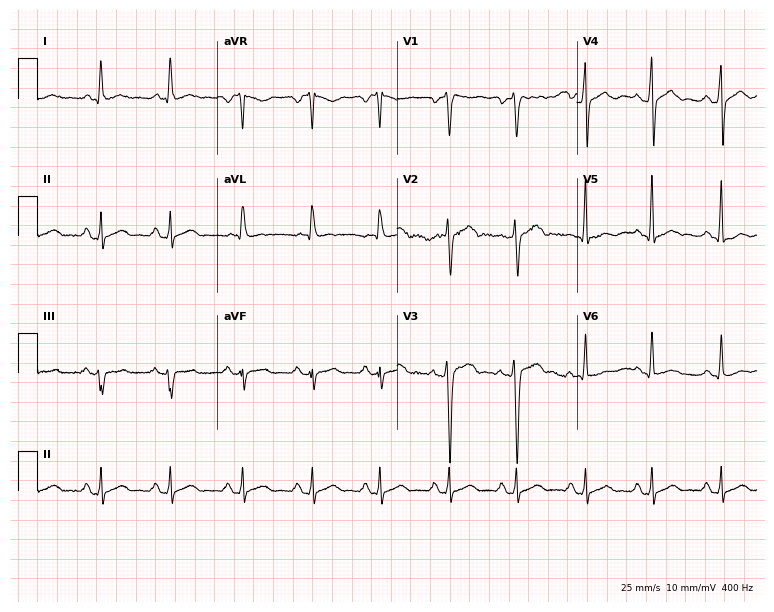
Electrocardiogram (7.3-second recording at 400 Hz), a 56-year-old man. Of the six screened findings (first-degree AV block, right bundle branch block, left bundle branch block, sinus bradycardia, atrial fibrillation, sinus tachycardia), none is recorded. Other findings, if any, are not listed.